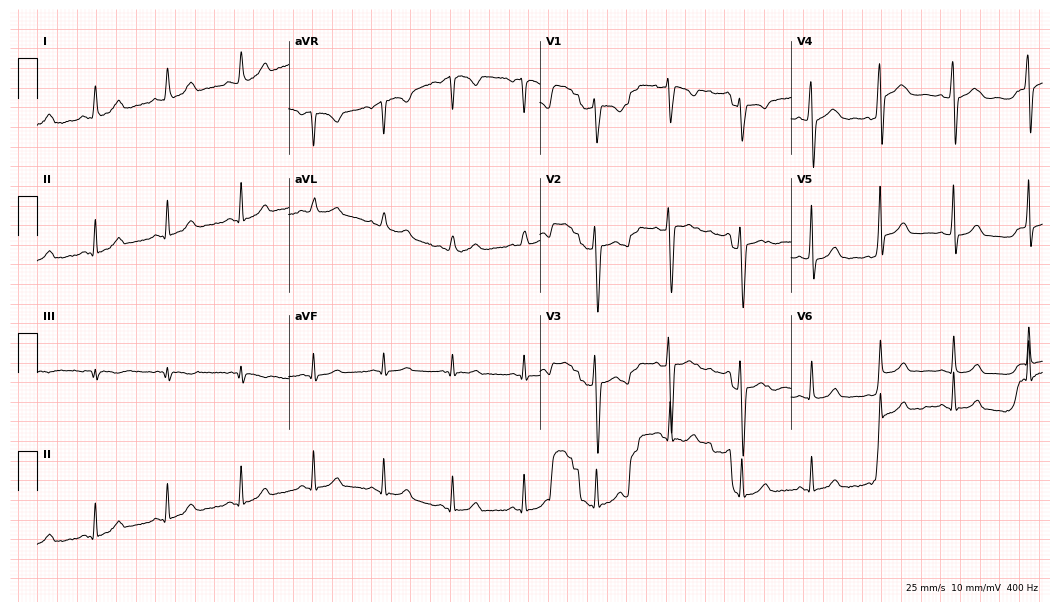
12-lead ECG (10.2-second recording at 400 Hz) from a woman, 20 years old. Labelled as a normal ECG.